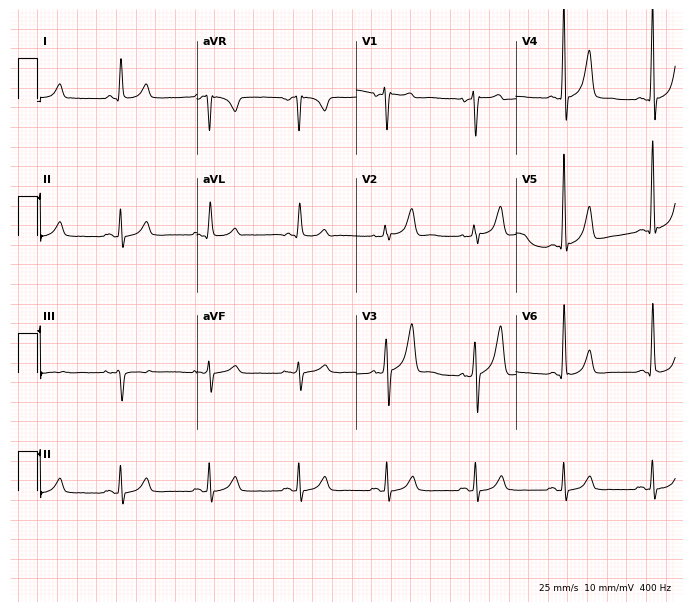
Standard 12-lead ECG recorded from a 50-year-old male patient (6.5-second recording at 400 Hz). Read as a normal ECG.